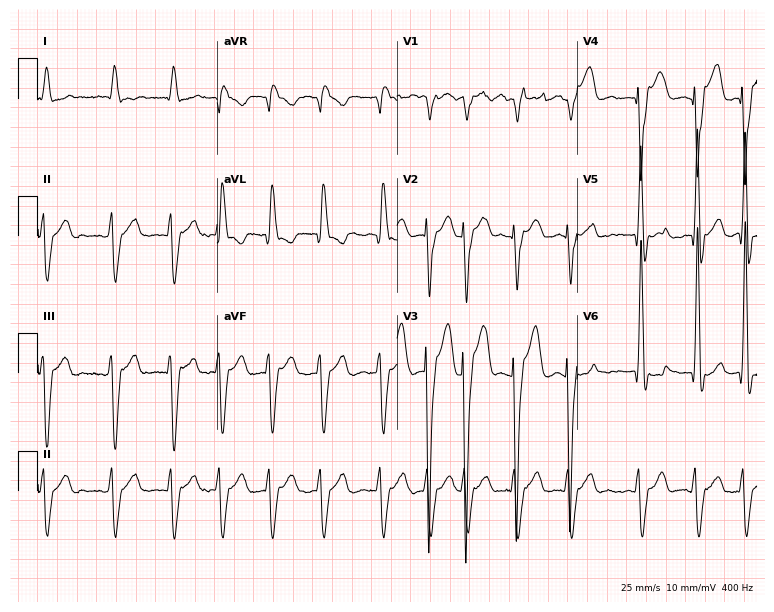
12-lead ECG (7.3-second recording at 400 Hz) from a 74-year-old male patient. Findings include atrial fibrillation.